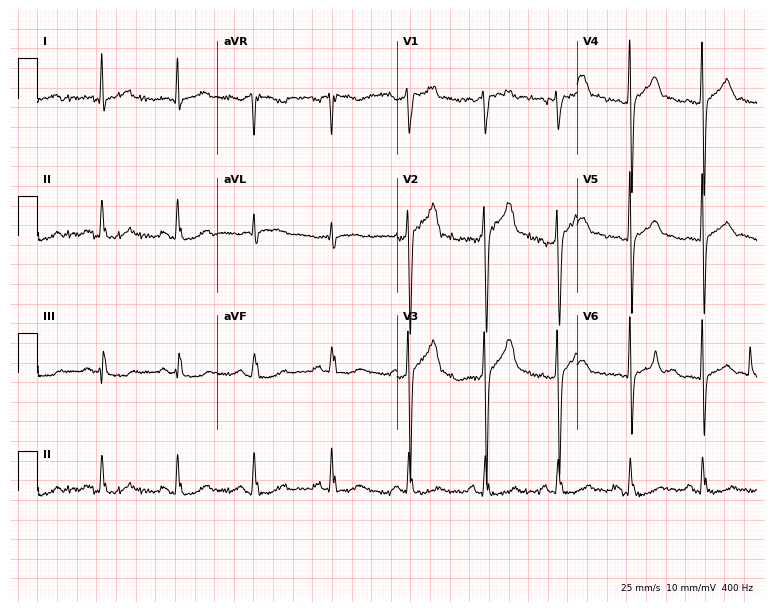
Resting 12-lead electrocardiogram. Patient: a male, 43 years old. None of these six findings is recorded: first-degree AV block, right bundle branch block, left bundle branch block, sinus bradycardia, atrial fibrillation, sinus tachycardia.